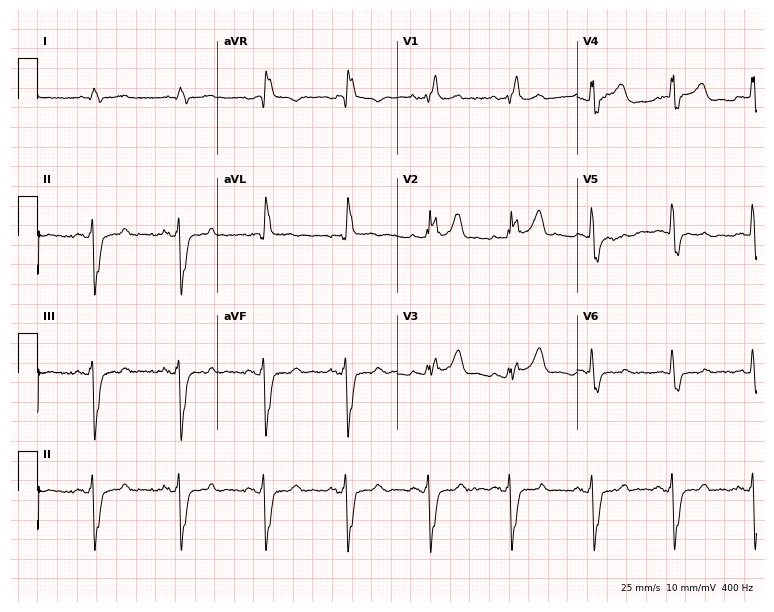
ECG — a 57-year-old man. Findings include right bundle branch block (RBBB).